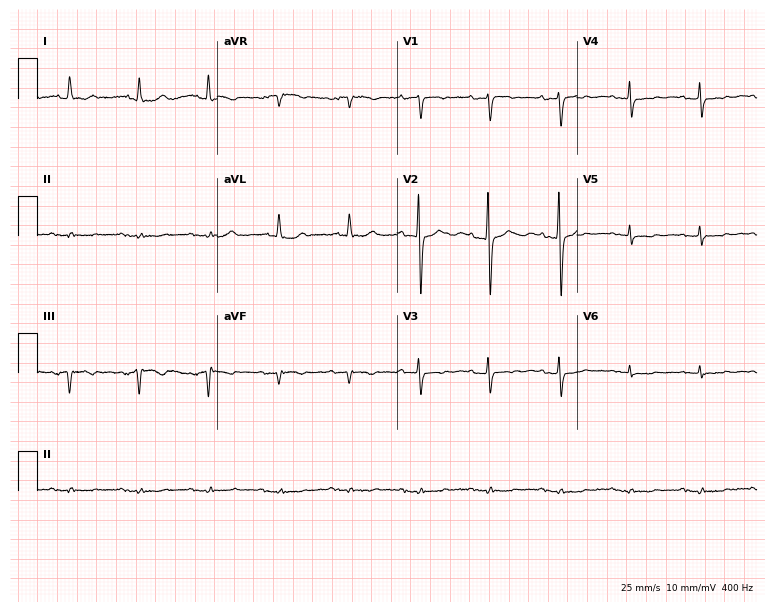
12-lead ECG from a female patient, 85 years old. No first-degree AV block, right bundle branch block, left bundle branch block, sinus bradycardia, atrial fibrillation or sinus tachycardia recorded for this tracing.